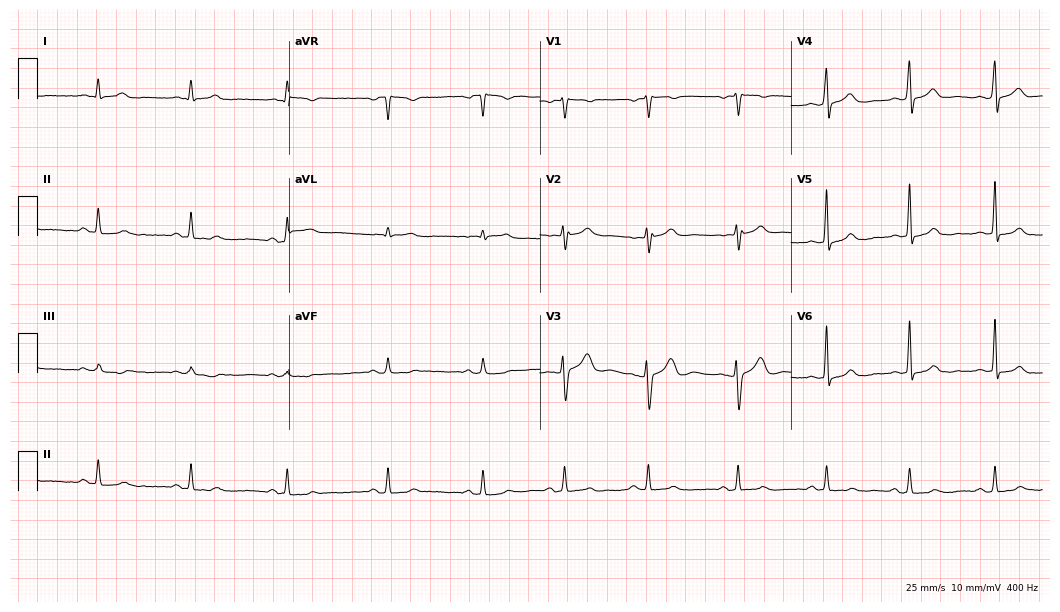
ECG (10.2-second recording at 400 Hz) — a female patient, 29 years old. Labelled as a normal ECG.